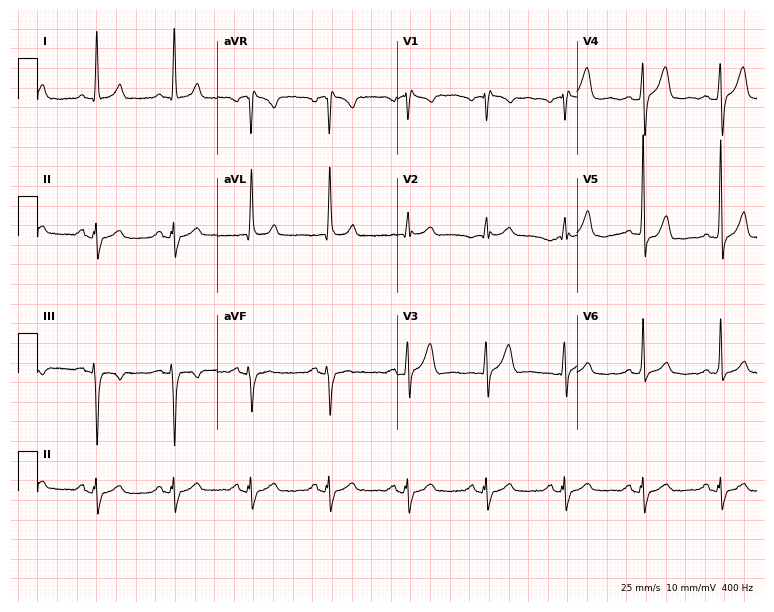
12-lead ECG from a man, 66 years old. No first-degree AV block, right bundle branch block (RBBB), left bundle branch block (LBBB), sinus bradycardia, atrial fibrillation (AF) or sinus tachycardia recorded for this tracing.